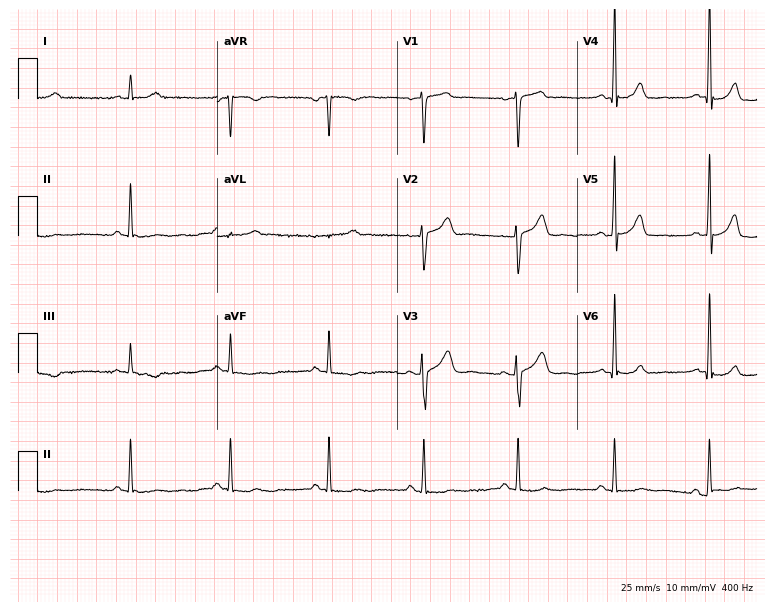
ECG (7.3-second recording at 400 Hz) — a male, 56 years old. Labelled as a normal ECG.